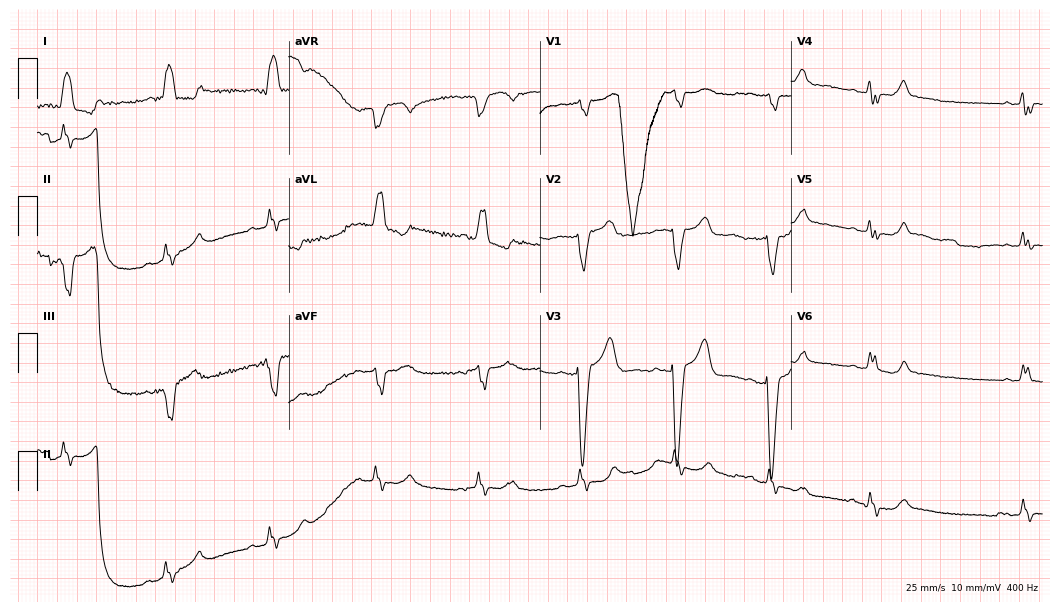
Resting 12-lead electrocardiogram (10.2-second recording at 400 Hz). Patient: an 81-year-old female. None of these six findings is recorded: first-degree AV block, right bundle branch block, left bundle branch block, sinus bradycardia, atrial fibrillation, sinus tachycardia.